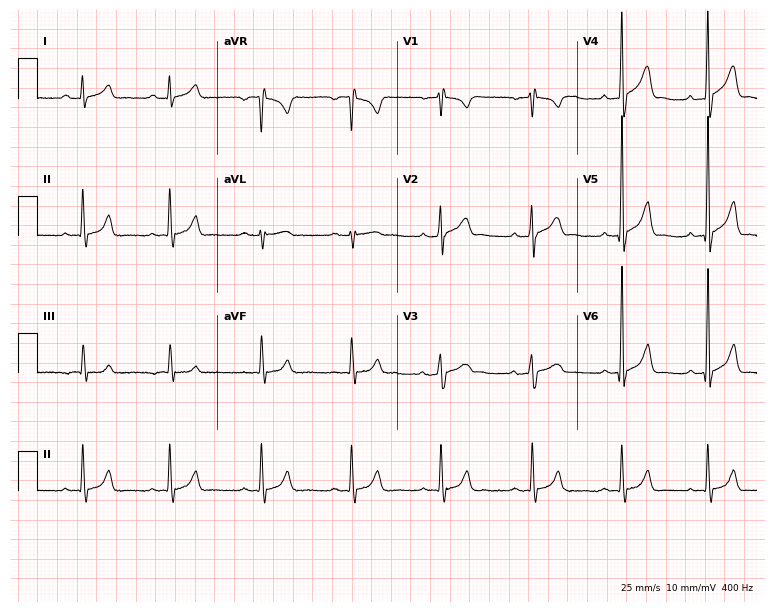
Resting 12-lead electrocardiogram (7.3-second recording at 400 Hz). Patient: a man, 29 years old. None of these six findings is recorded: first-degree AV block, right bundle branch block, left bundle branch block, sinus bradycardia, atrial fibrillation, sinus tachycardia.